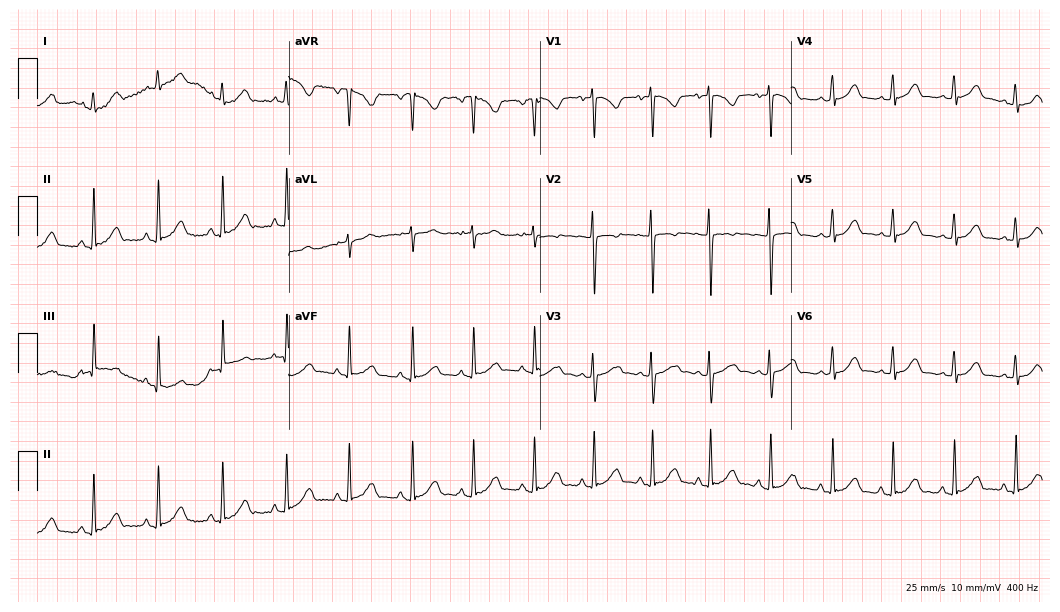
12-lead ECG from a female, 18 years old. Recorded interpretation: within normal limits.